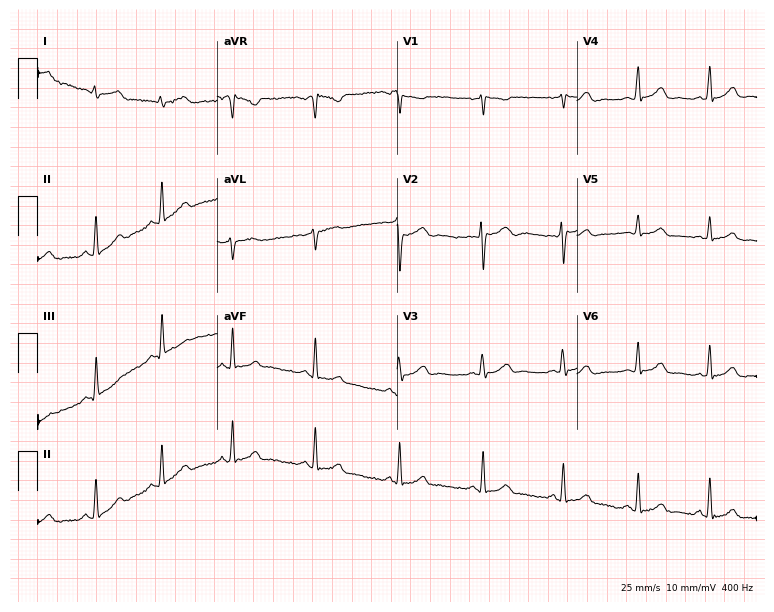
Standard 12-lead ECG recorded from a female, 29 years old (7.3-second recording at 400 Hz). None of these six findings is recorded: first-degree AV block, right bundle branch block (RBBB), left bundle branch block (LBBB), sinus bradycardia, atrial fibrillation (AF), sinus tachycardia.